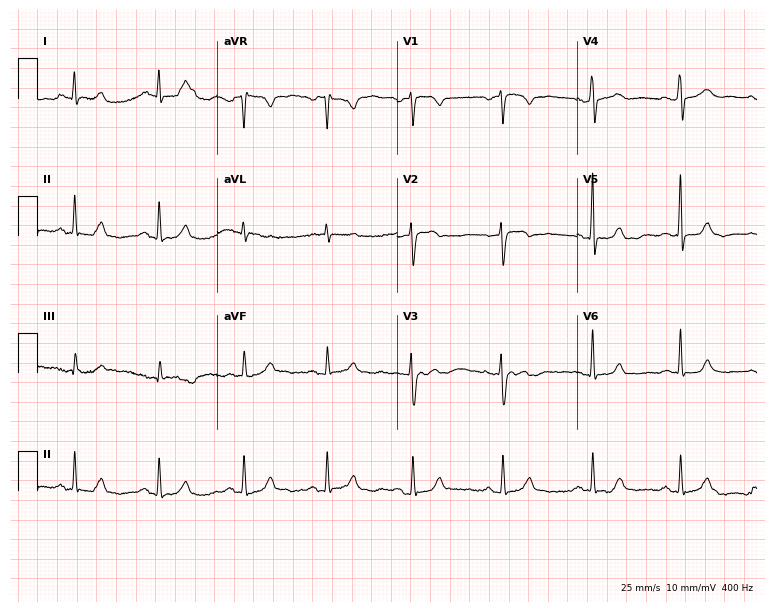
Standard 12-lead ECG recorded from a woman, 48 years old (7.3-second recording at 400 Hz). Read as a normal ECG.